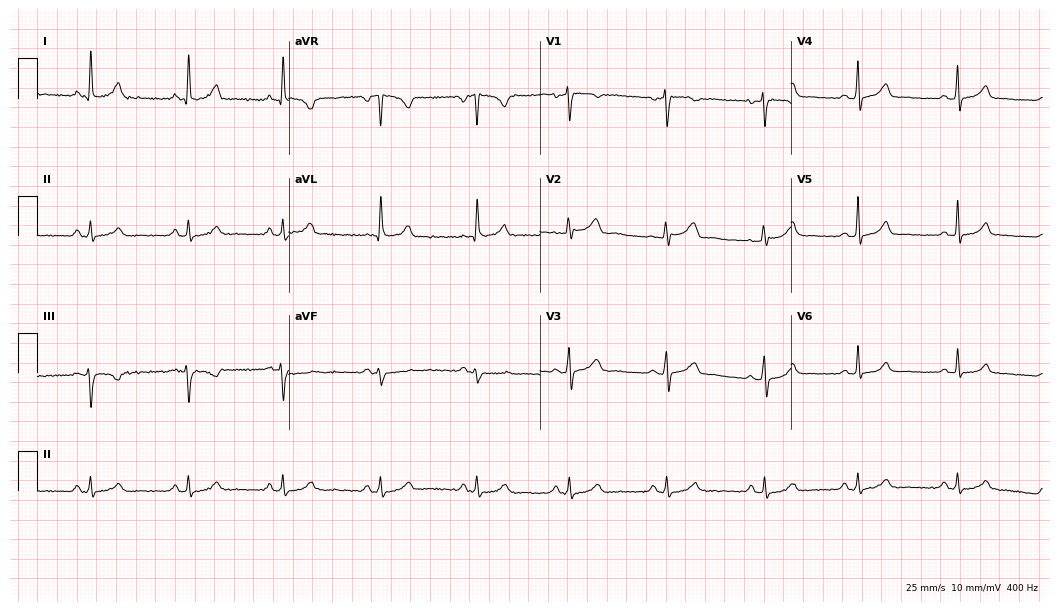
Electrocardiogram (10.2-second recording at 400 Hz), a 41-year-old female. Overall reading on record: normal ECG.